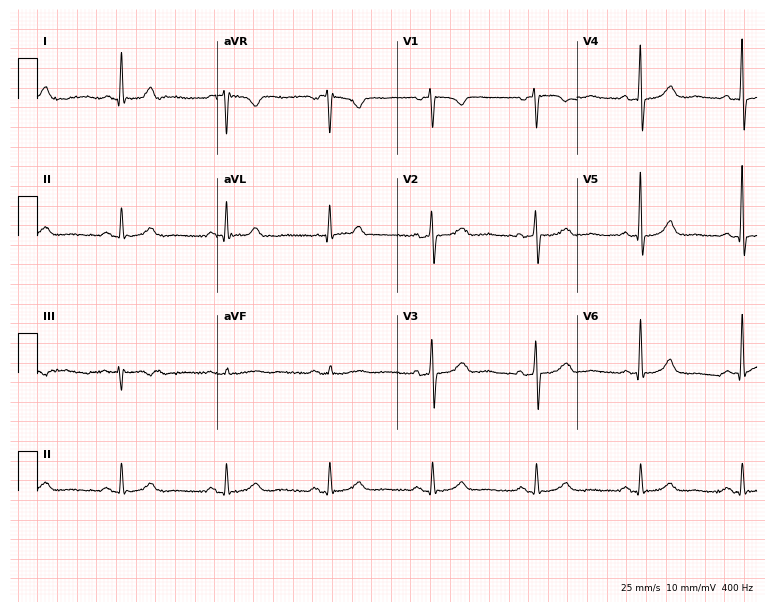
ECG (7.3-second recording at 400 Hz) — a female, 69 years old. Labelled as a normal ECG.